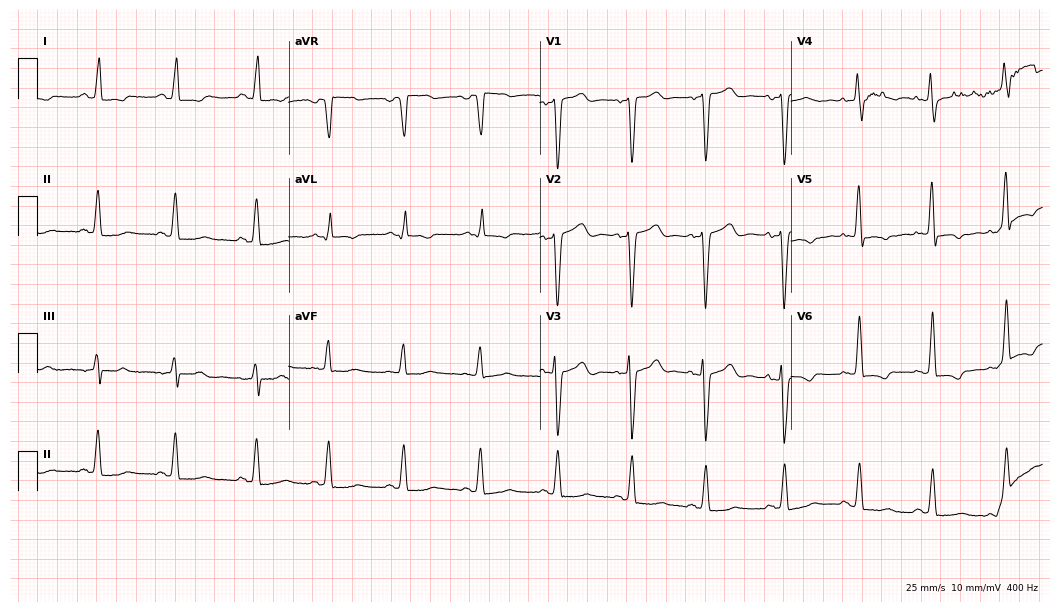
12-lead ECG from a woman, 60 years old (10.2-second recording at 400 Hz). No first-degree AV block, right bundle branch block (RBBB), left bundle branch block (LBBB), sinus bradycardia, atrial fibrillation (AF) or sinus tachycardia recorded for this tracing. Only these six findings were labelled.